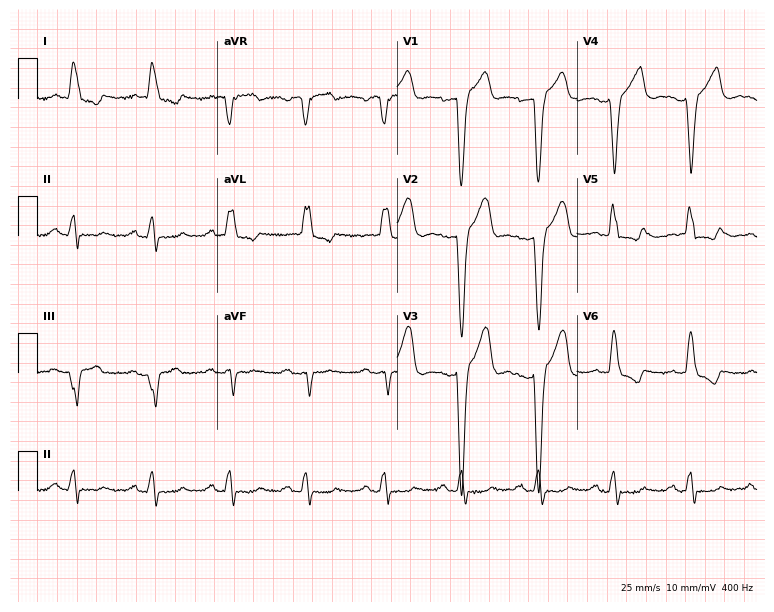
Resting 12-lead electrocardiogram. Patient: a male, 63 years old. The tracing shows left bundle branch block (LBBB).